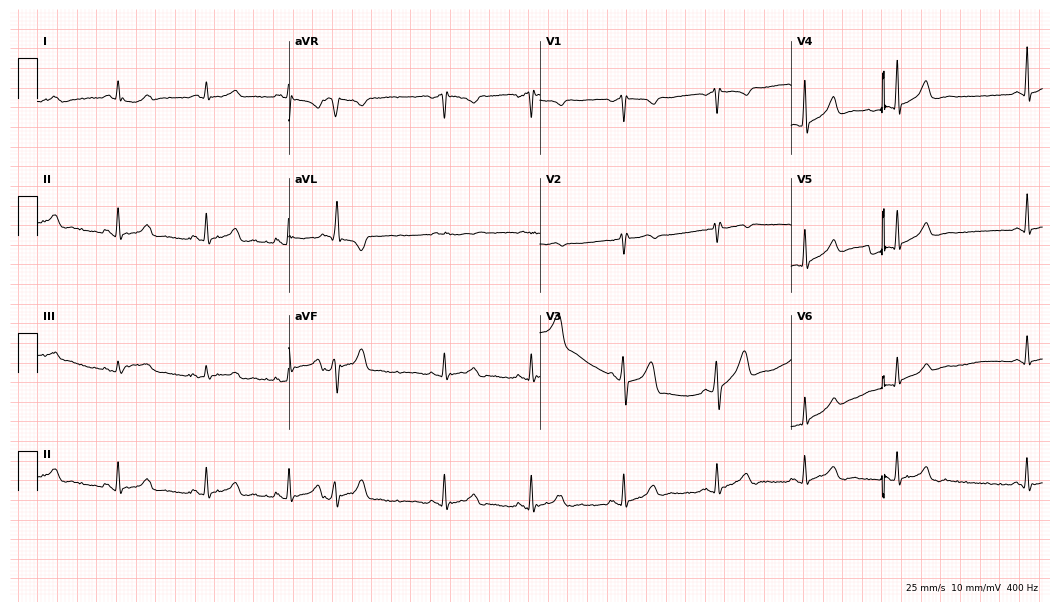
Resting 12-lead electrocardiogram (10.2-second recording at 400 Hz). Patient: a man, 37 years old. None of these six findings is recorded: first-degree AV block, right bundle branch block, left bundle branch block, sinus bradycardia, atrial fibrillation, sinus tachycardia. Only these six findings were labelled.